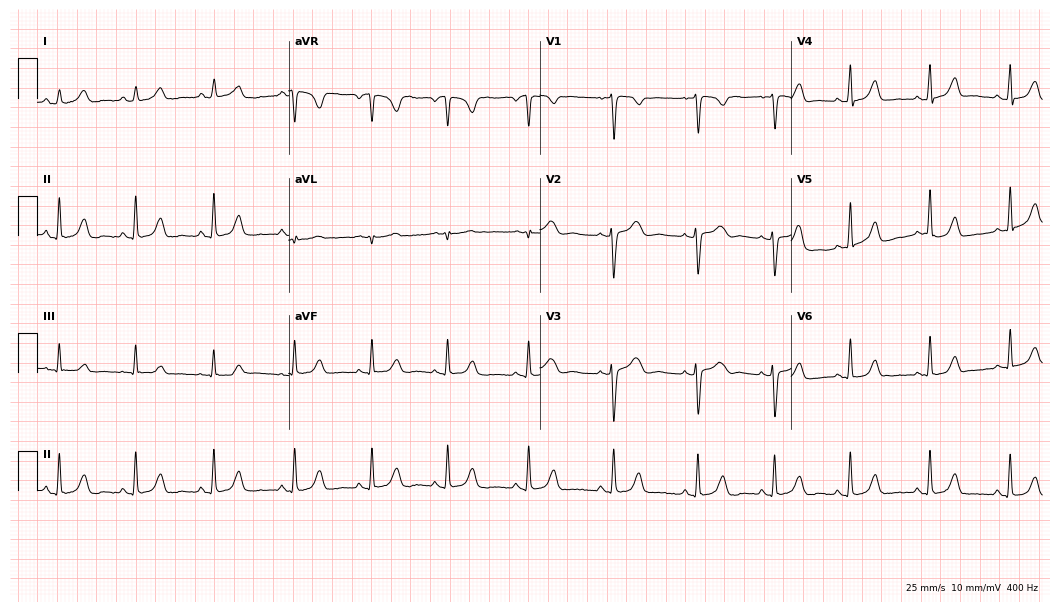
Electrocardiogram (10.2-second recording at 400 Hz), a female patient, 29 years old. Overall reading on record: normal ECG.